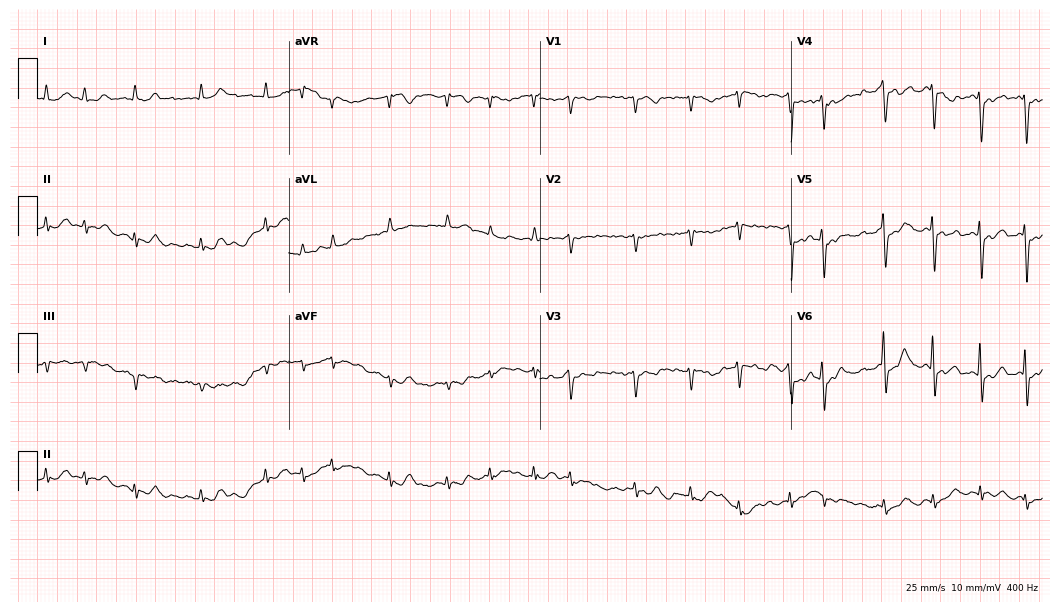
Resting 12-lead electrocardiogram. Patient: an 85-year-old man. The tracing shows atrial fibrillation.